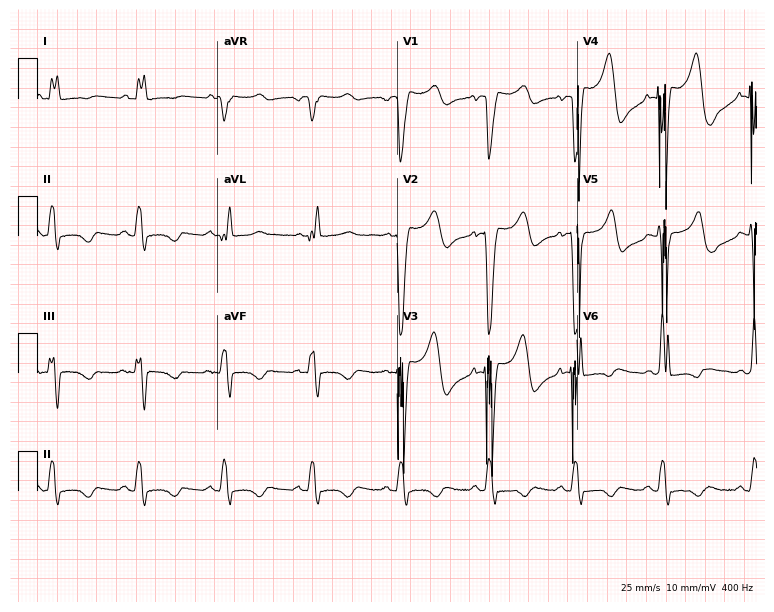
12-lead ECG from a female, 71 years old. Shows left bundle branch block (LBBB).